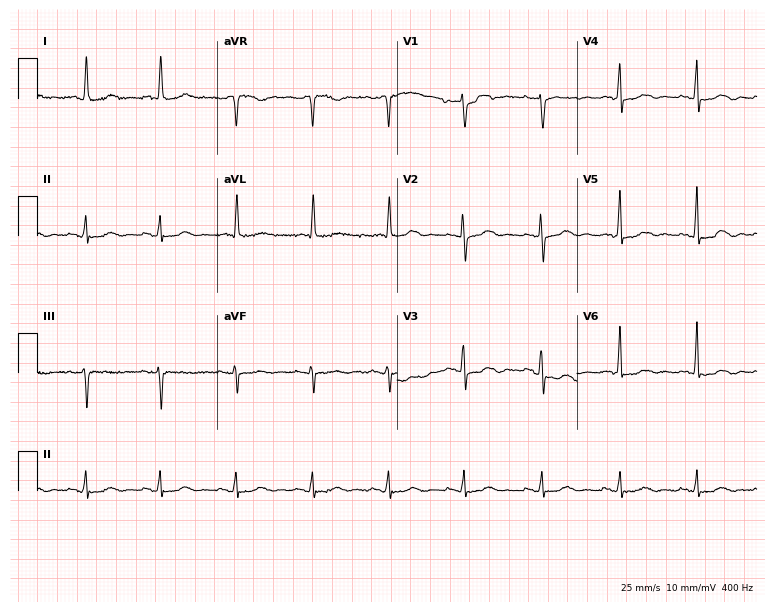
ECG — a woman, 80 years old. Labelled as a normal ECG.